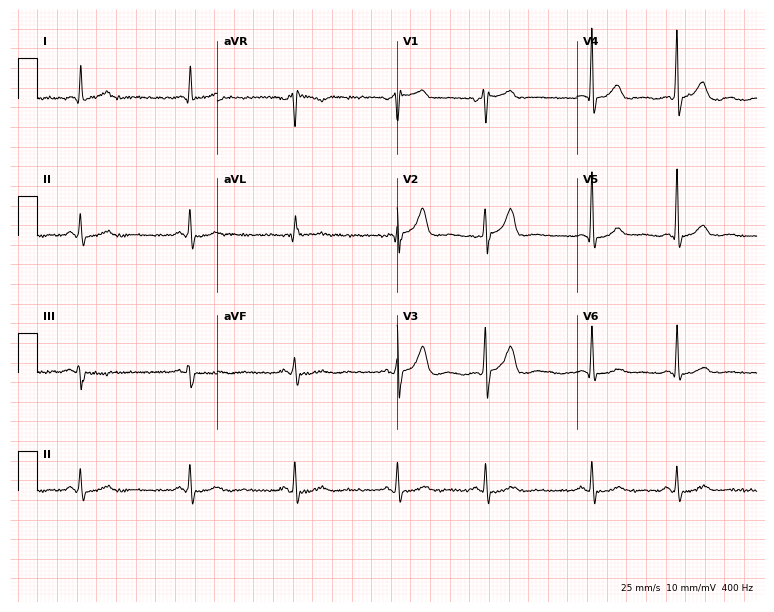
12-lead ECG from a man, 58 years old. Screened for six findings — first-degree AV block, right bundle branch block, left bundle branch block, sinus bradycardia, atrial fibrillation, sinus tachycardia — none is recorded.